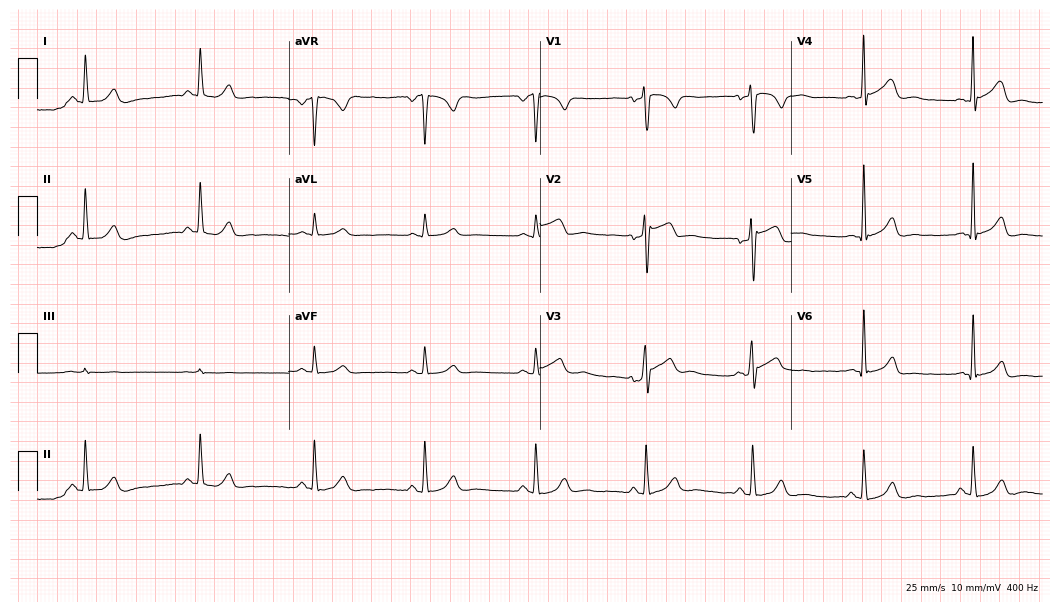
12-lead ECG from a 49-year-old male patient (10.2-second recording at 400 Hz). Recorded interpretation: within normal limits.